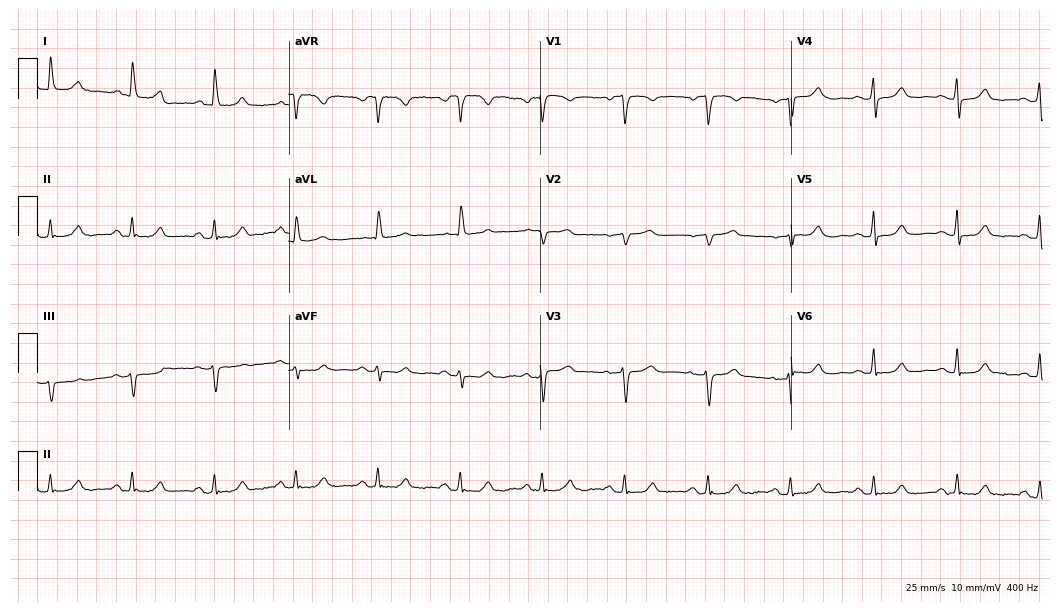
ECG (10.2-second recording at 400 Hz) — a 68-year-old woman. Screened for six findings — first-degree AV block, right bundle branch block (RBBB), left bundle branch block (LBBB), sinus bradycardia, atrial fibrillation (AF), sinus tachycardia — none is recorded.